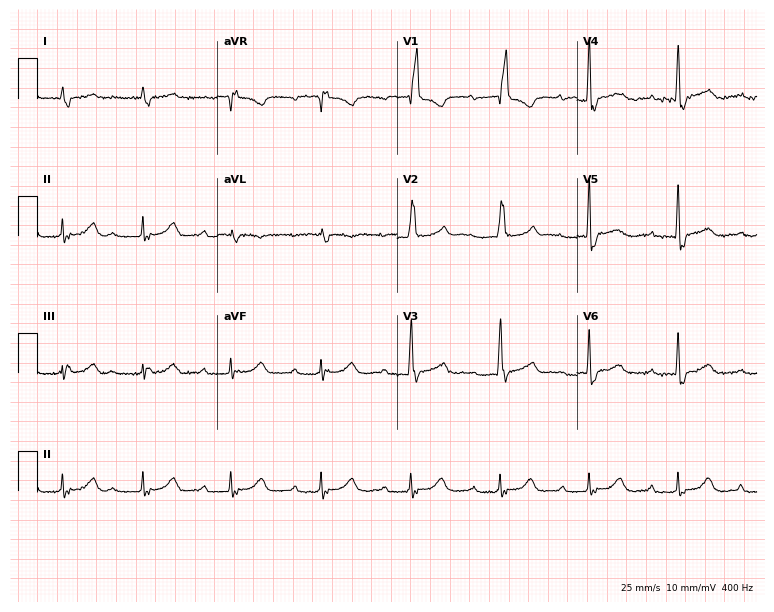
Resting 12-lead electrocardiogram. Patient: an 84-year-old man. The tracing shows first-degree AV block, right bundle branch block.